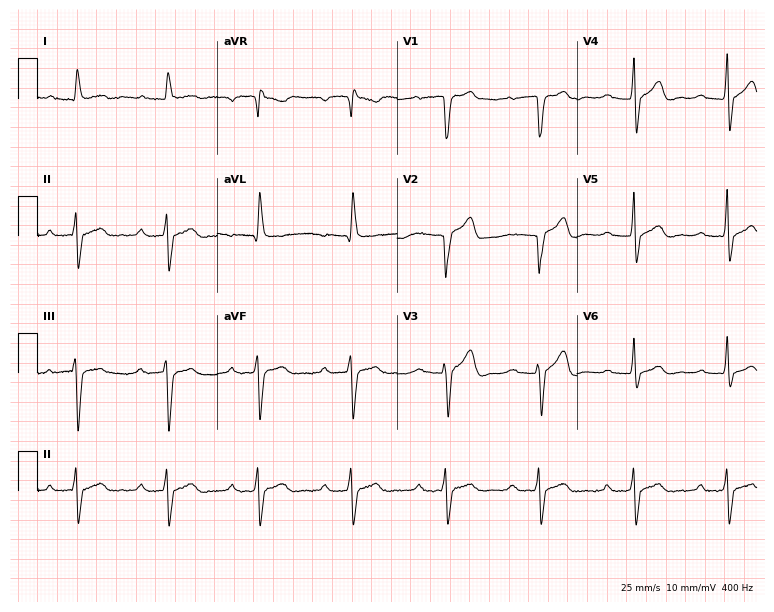
Electrocardiogram, a man, 73 years old. Interpretation includes first-degree AV block.